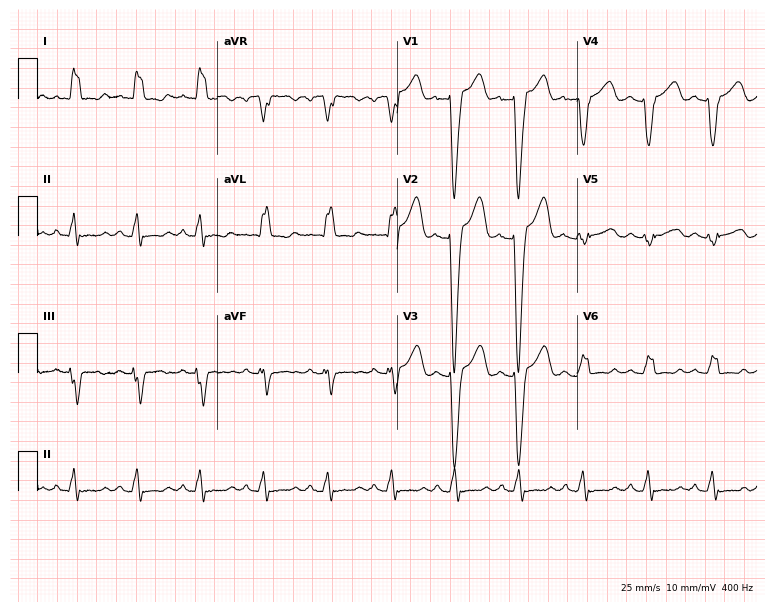
Resting 12-lead electrocardiogram (7.3-second recording at 400 Hz). Patient: a female, 38 years old. The tracing shows left bundle branch block.